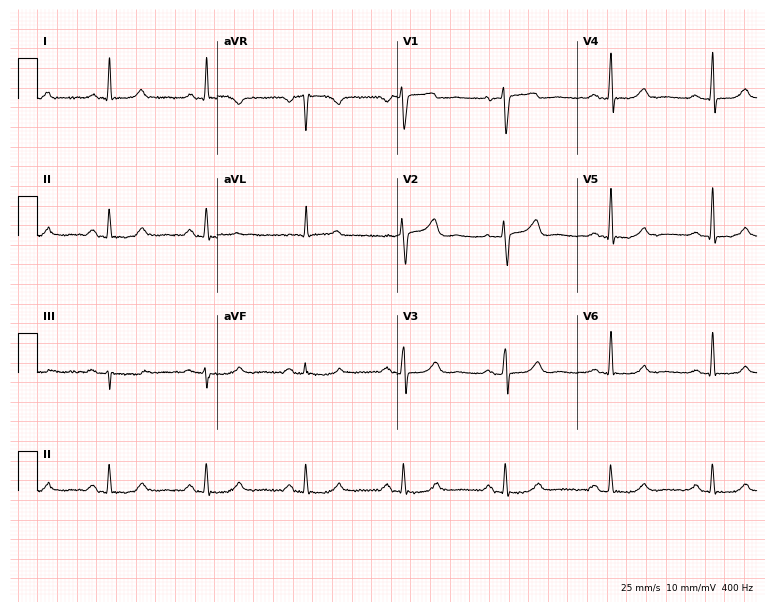
ECG (7.3-second recording at 400 Hz) — a woman, 71 years old. Labelled as a normal ECG.